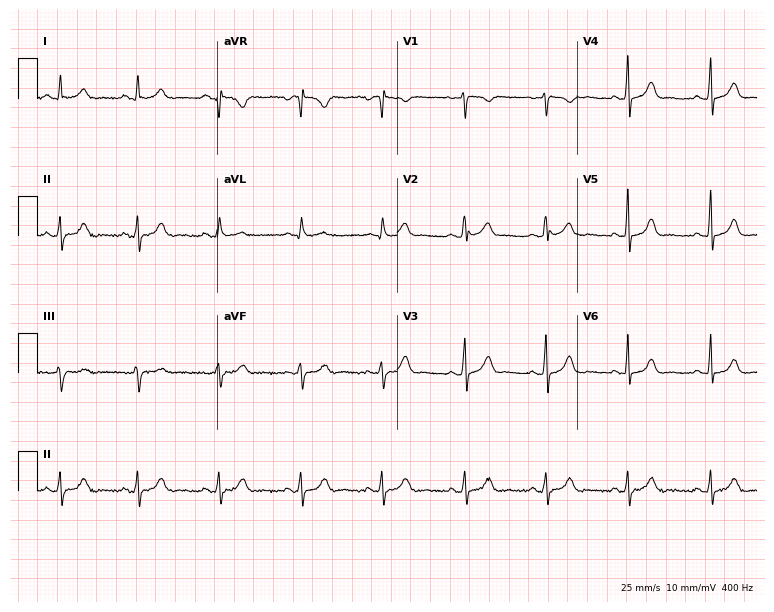
12-lead ECG from a female, 27 years old. Labelled as a normal ECG.